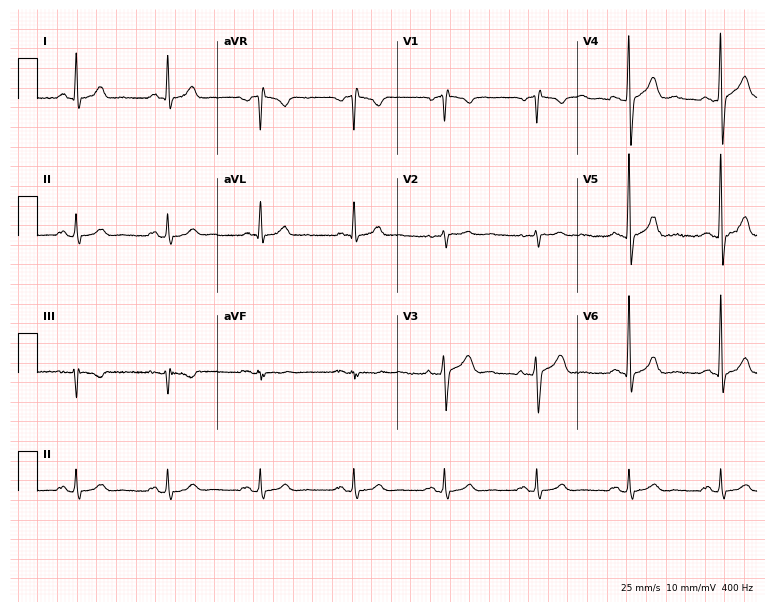
Resting 12-lead electrocardiogram. Patient: a male, 58 years old. Read as a normal ECG.